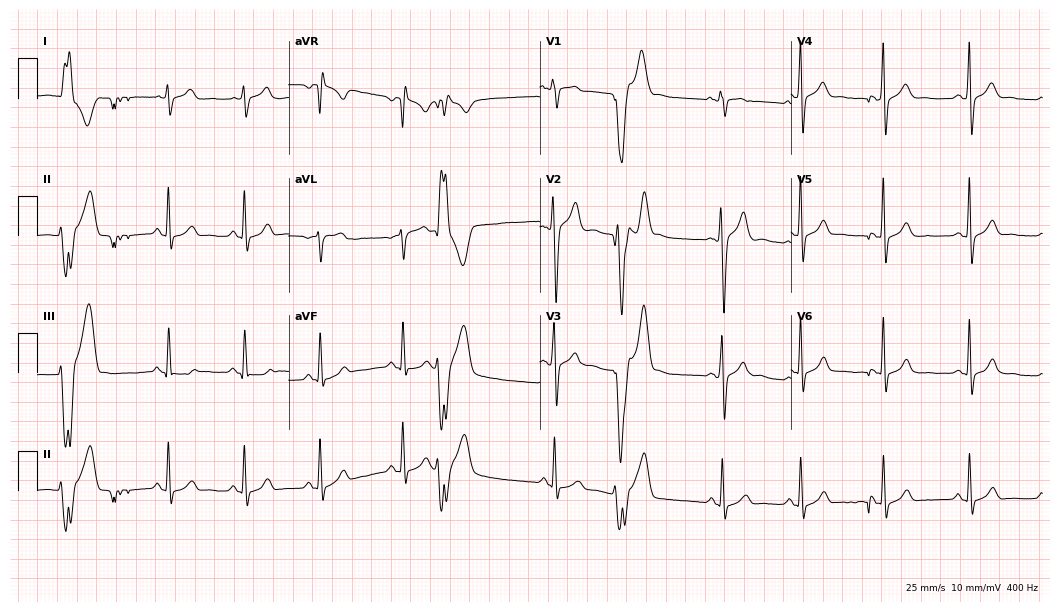
Resting 12-lead electrocardiogram. Patient: a male, 22 years old. None of these six findings is recorded: first-degree AV block, right bundle branch block, left bundle branch block, sinus bradycardia, atrial fibrillation, sinus tachycardia.